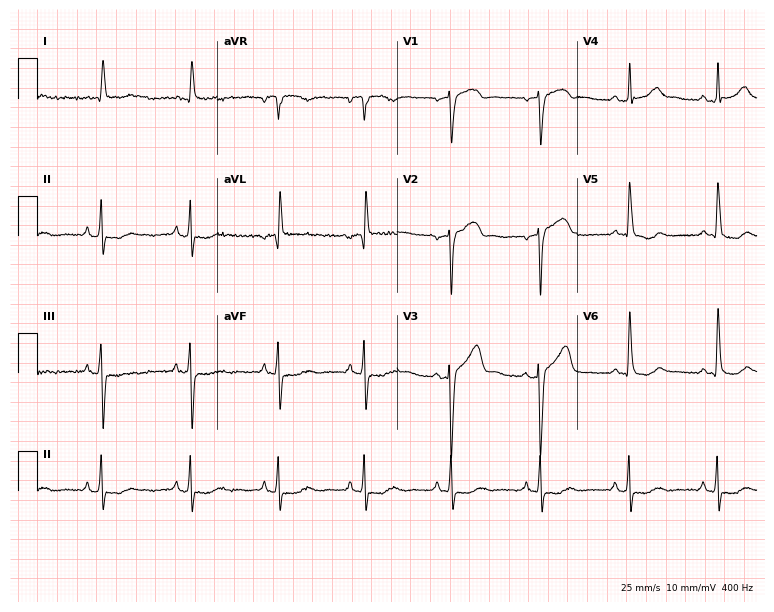
Resting 12-lead electrocardiogram (7.3-second recording at 400 Hz). Patient: a male, 85 years old. None of these six findings is recorded: first-degree AV block, right bundle branch block, left bundle branch block, sinus bradycardia, atrial fibrillation, sinus tachycardia. Only these six findings were labelled.